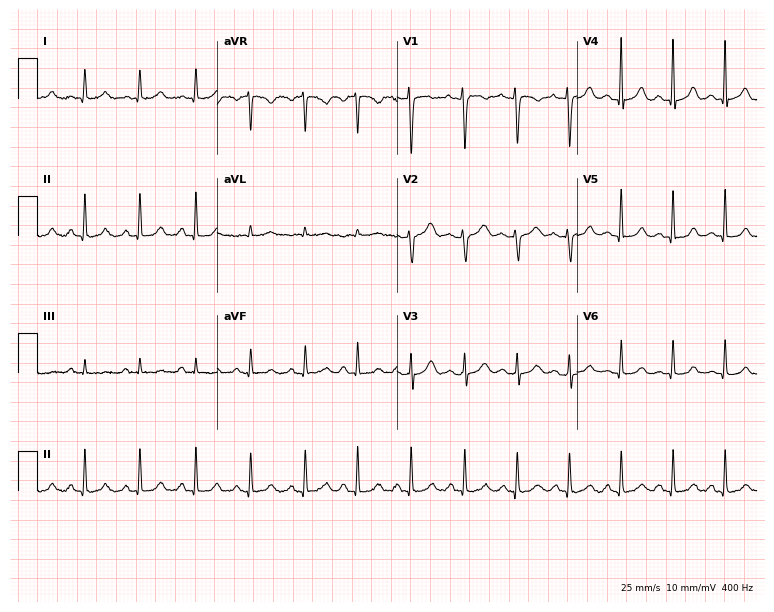
ECG (7.3-second recording at 400 Hz) — a woman, 34 years old. Screened for six findings — first-degree AV block, right bundle branch block, left bundle branch block, sinus bradycardia, atrial fibrillation, sinus tachycardia — none is recorded.